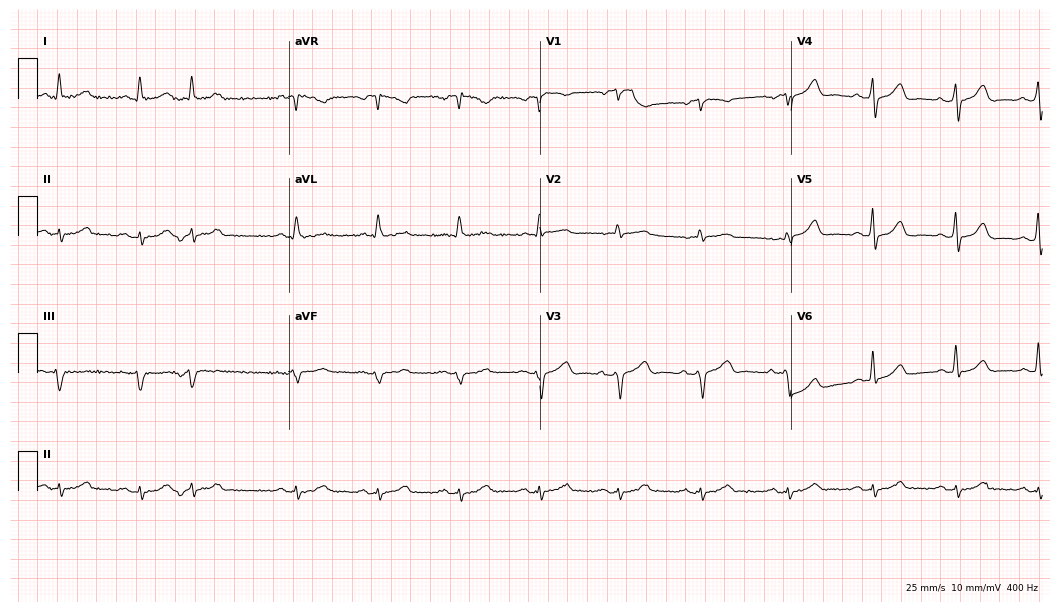
12-lead ECG from a male, 82 years old (10.2-second recording at 400 Hz). Recorded interpretation: within normal limits.